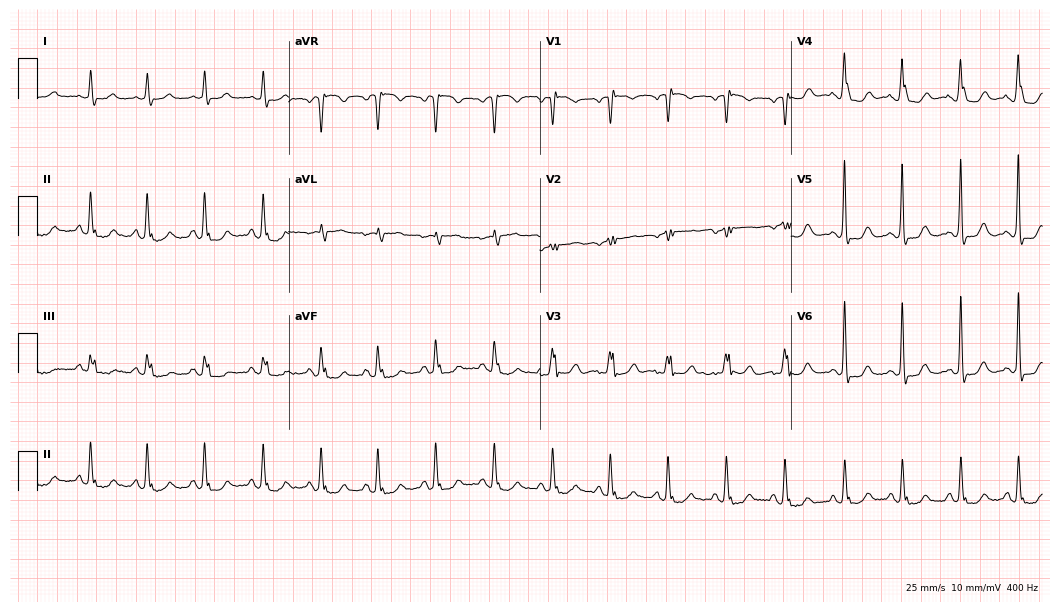
Resting 12-lead electrocardiogram (10.2-second recording at 400 Hz). Patient: a 63-year-old female. The tracing shows sinus tachycardia (a sinus rate of 100 beats per minute or more).